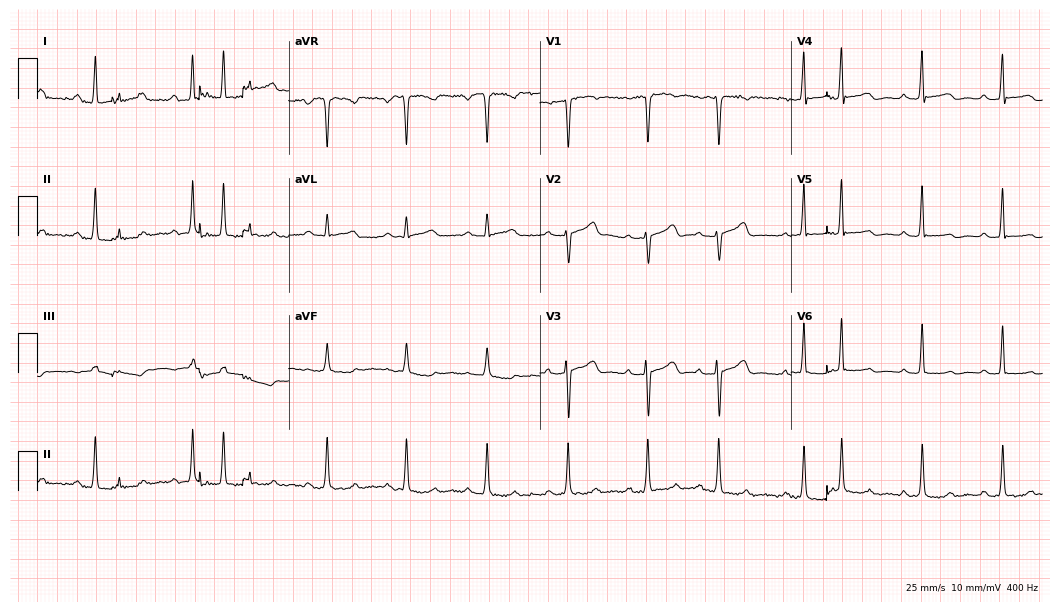
Standard 12-lead ECG recorded from a 41-year-old woman. None of these six findings is recorded: first-degree AV block, right bundle branch block, left bundle branch block, sinus bradycardia, atrial fibrillation, sinus tachycardia.